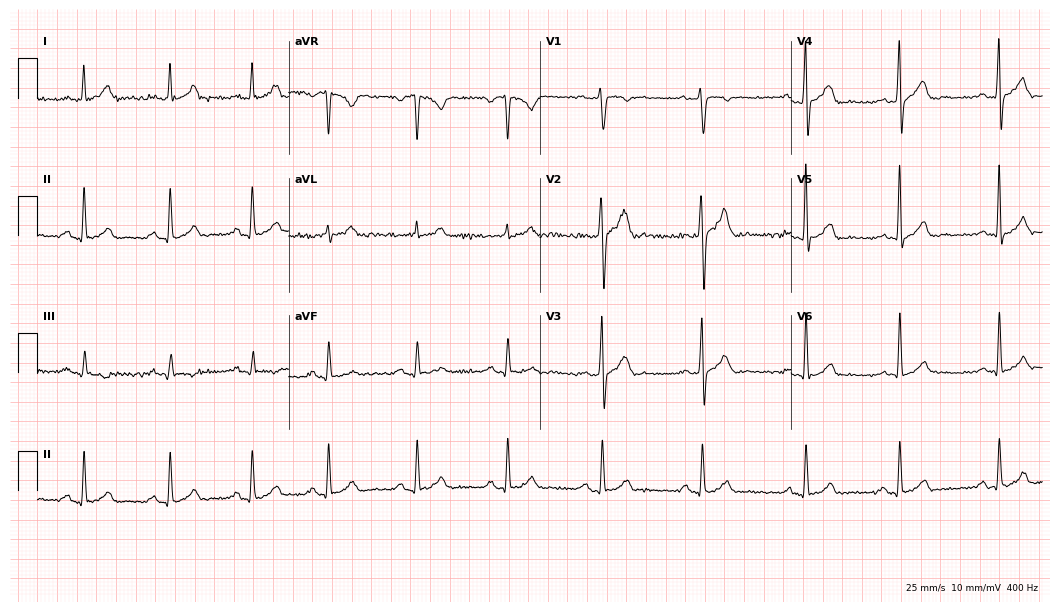
12-lead ECG (10.2-second recording at 400 Hz) from a 28-year-old man. Labelled as a normal ECG.